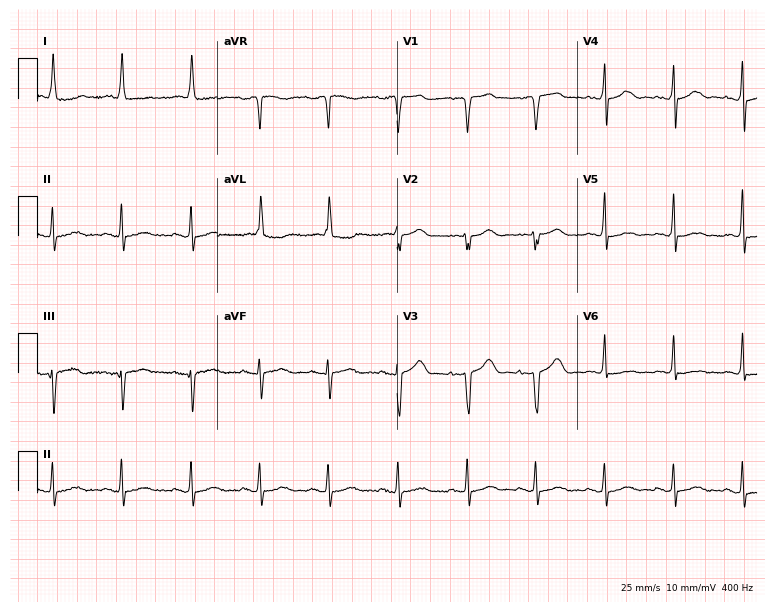
Standard 12-lead ECG recorded from an 83-year-old woman. None of these six findings is recorded: first-degree AV block, right bundle branch block (RBBB), left bundle branch block (LBBB), sinus bradycardia, atrial fibrillation (AF), sinus tachycardia. Only these six findings were labelled.